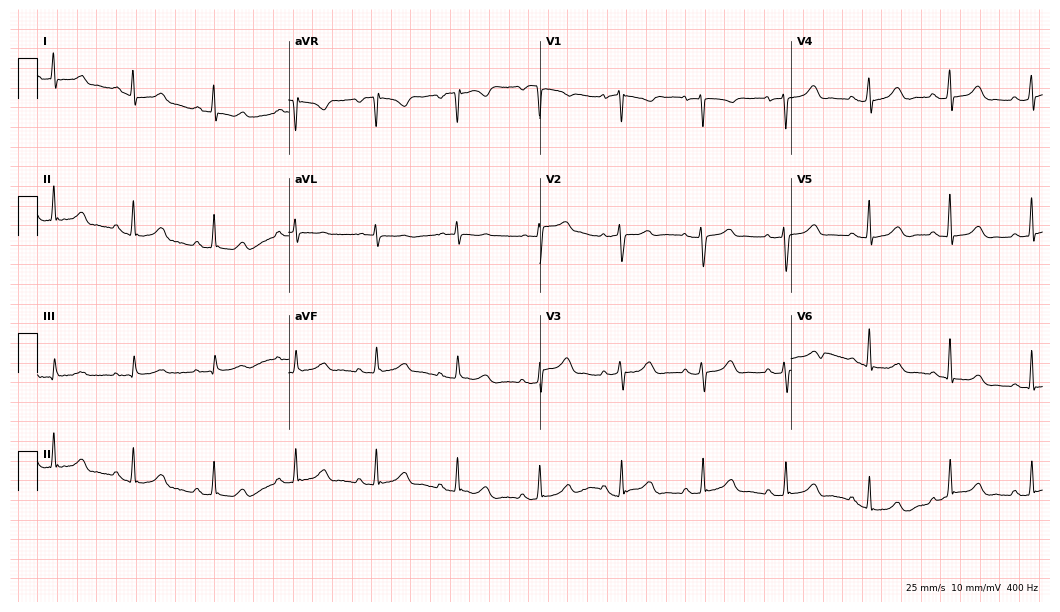
12-lead ECG from a 72-year-old woman. Recorded interpretation: within normal limits.